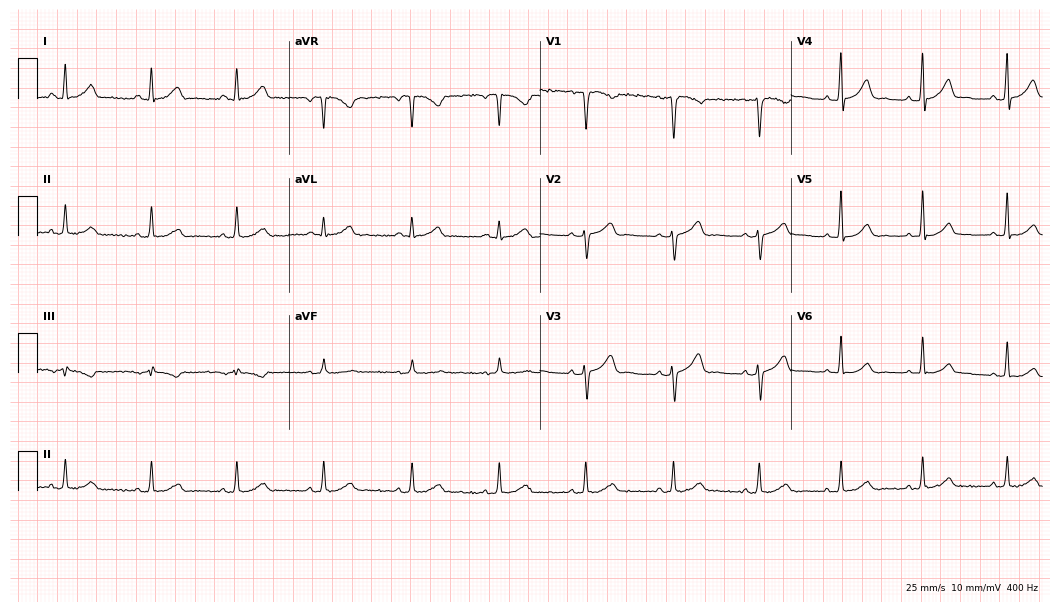
Standard 12-lead ECG recorded from a 37-year-old woman (10.2-second recording at 400 Hz). None of these six findings is recorded: first-degree AV block, right bundle branch block, left bundle branch block, sinus bradycardia, atrial fibrillation, sinus tachycardia.